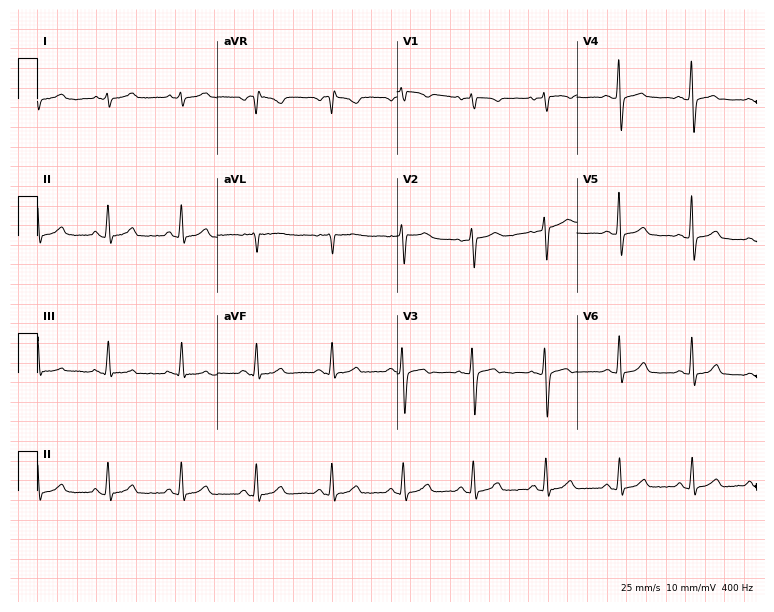
12-lead ECG from a woman, 52 years old. No first-degree AV block, right bundle branch block, left bundle branch block, sinus bradycardia, atrial fibrillation or sinus tachycardia recorded for this tracing. Other findings, if any, are not listed.